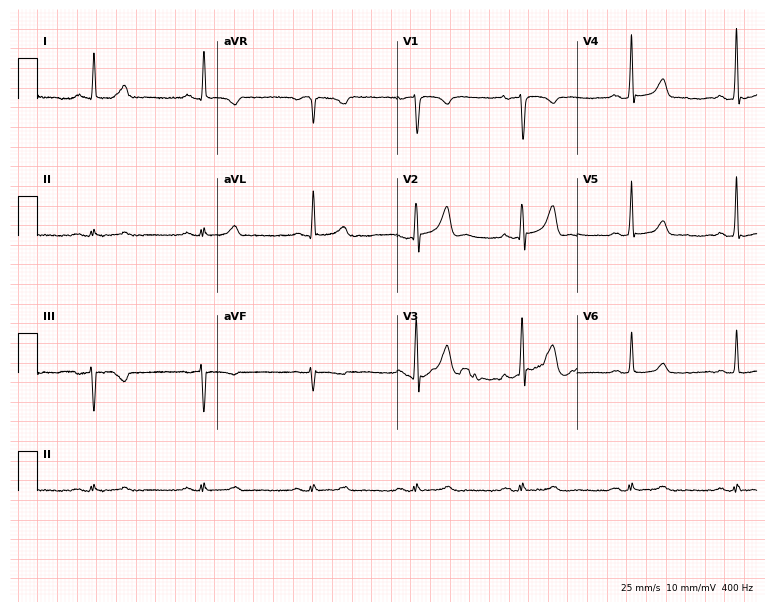
Electrocardiogram (7.3-second recording at 400 Hz), a female patient, 59 years old. Of the six screened findings (first-degree AV block, right bundle branch block (RBBB), left bundle branch block (LBBB), sinus bradycardia, atrial fibrillation (AF), sinus tachycardia), none is recorded. Other findings, if any, are not listed.